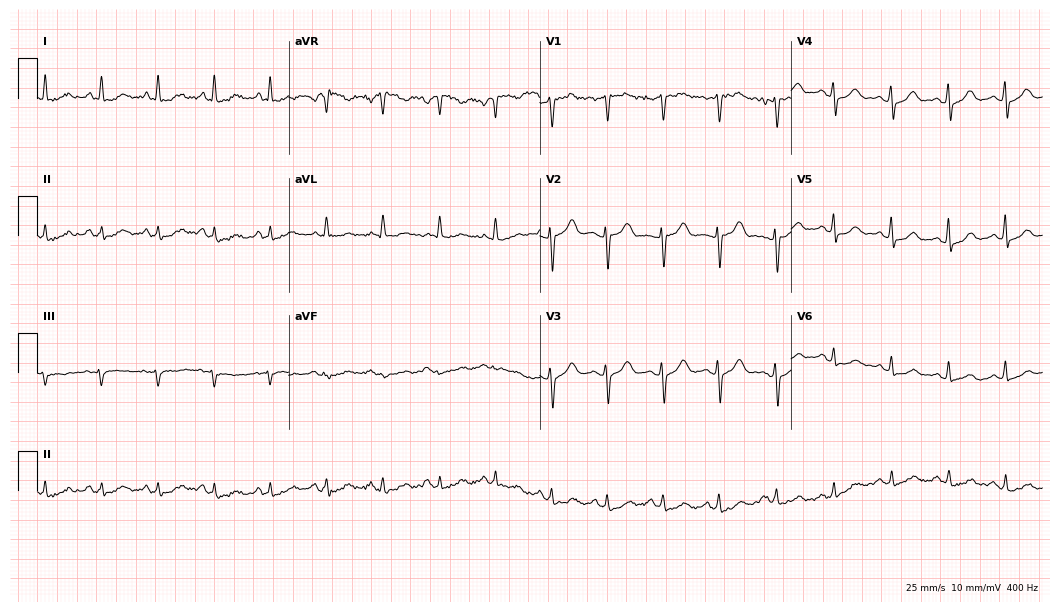
ECG (10.2-second recording at 400 Hz) — a female patient, 53 years old. Findings include sinus tachycardia (a sinus rate of 100 beats per minute or more).